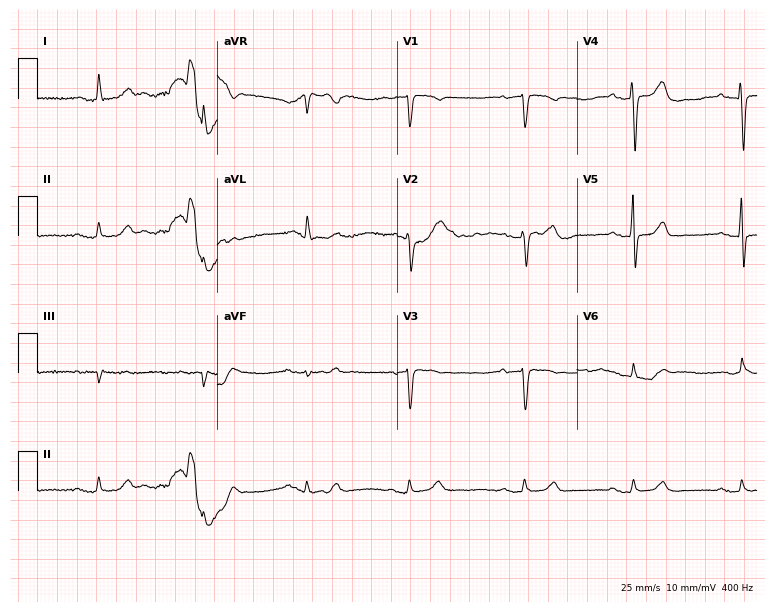
Resting 12-lead electrocardiogram. Patient: a 74-year-old female. Read as a normal ECG.